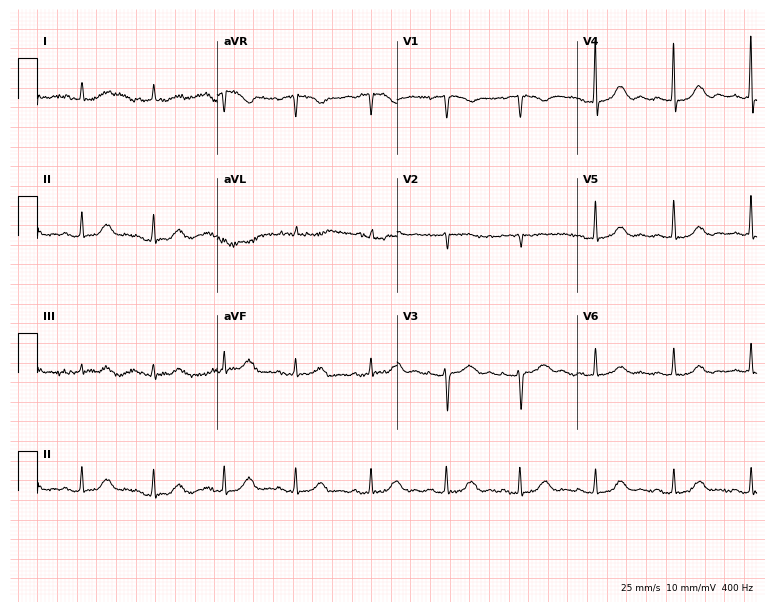
12-lead ECG (7.3-second recording at 400 Hz) from a female patient, 82 years old. Screened for six findings — first-degree AV block, right bundle branch block (RBBB), left bundle branch block (LBBB), sinus bradycardia, atrial fibrillation (AF), sinus tachycardia — none is recorded. Findings outside these six are not listed.